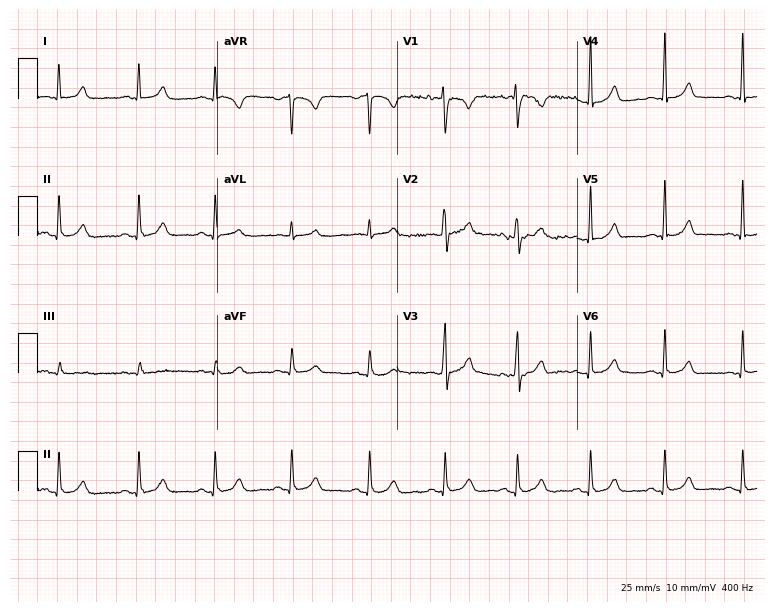
Resting 12-lead electrocardiogram (7.3-second recording at 400 Hz). Patient: a 21-year-old female. Read as a normal ECG.